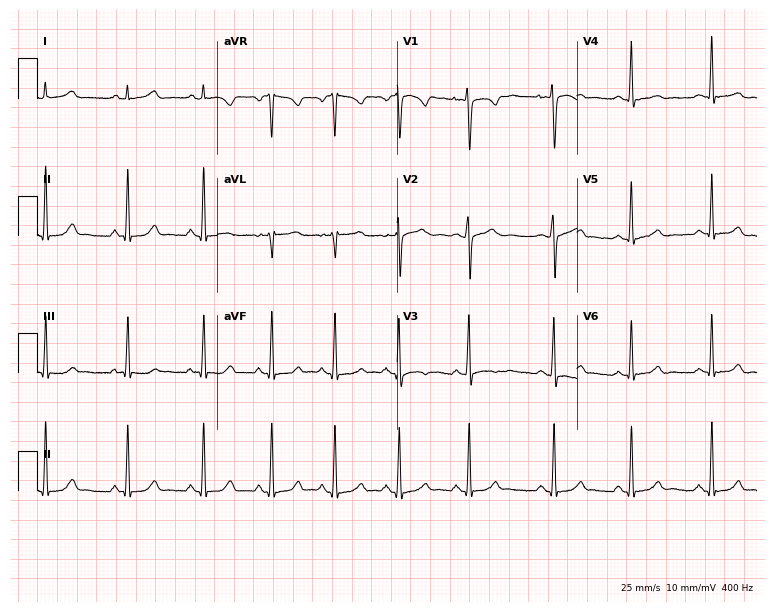
12-lead ECG from a woman, 19 years old. Screened for six findings — first-degree AV block, right bundle branch block, left bundle branch block, sinus bradycardia, atrial fibrillation, sinus tachycardia — none is recorded. Findings outside these six are not listed.